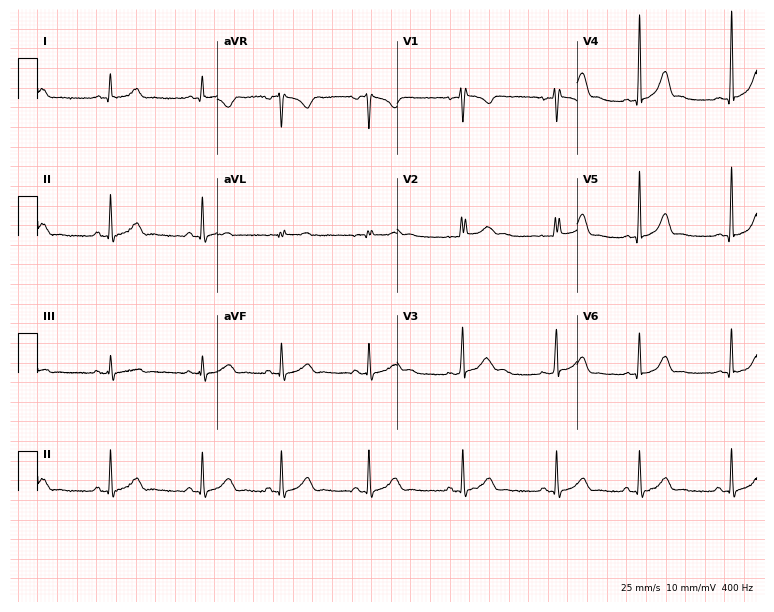
Standard 12-lead ECG recorded from a woman, 18 years old. None of these six findings is recorded: first-degree AV block, right bundle branch block (RBBB), left bundle branch block (LBBB), sinus bradycardia, atrial fibrillation (AF), sinus tachycardia.